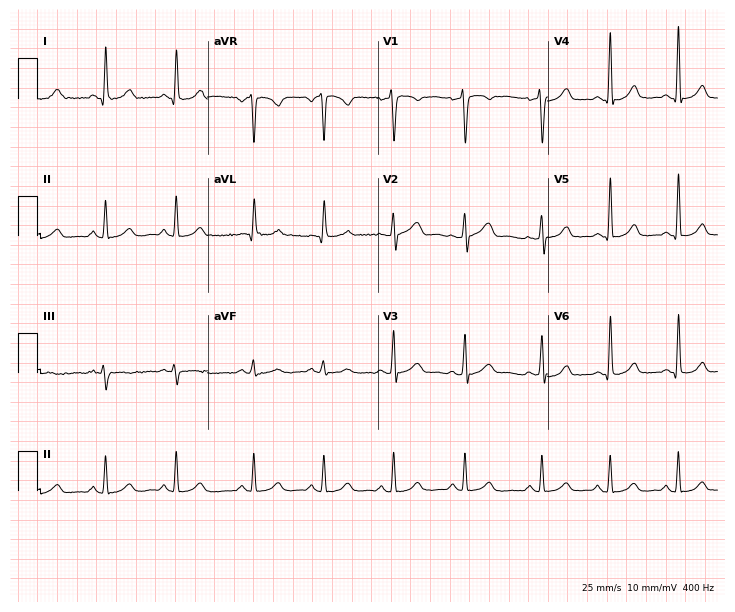
Resting 12-lead electrocardiogram. Patient: a 43-year-old woman. Read as a normal ECG.